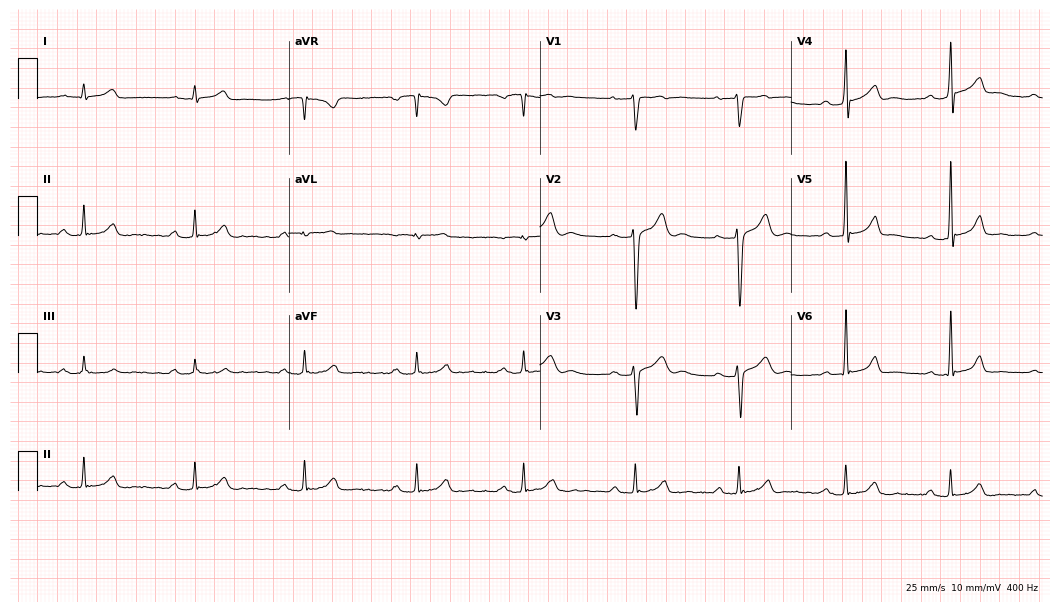
12-lead ECG (10.2-second recording at 400 Hz) from a 42-year-old male. Findings include first-degree AV block.